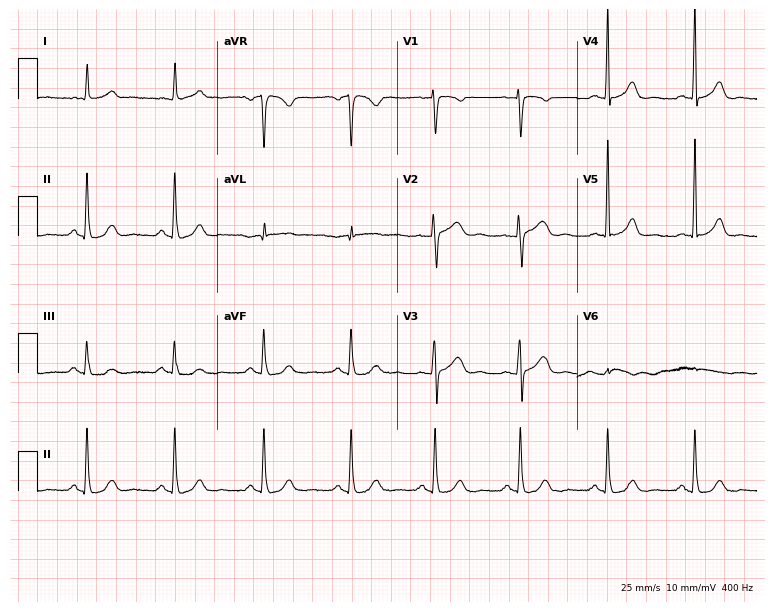
Standard 12-lead ECG recorded from a 52-year-old female. Read as a normal ECG.